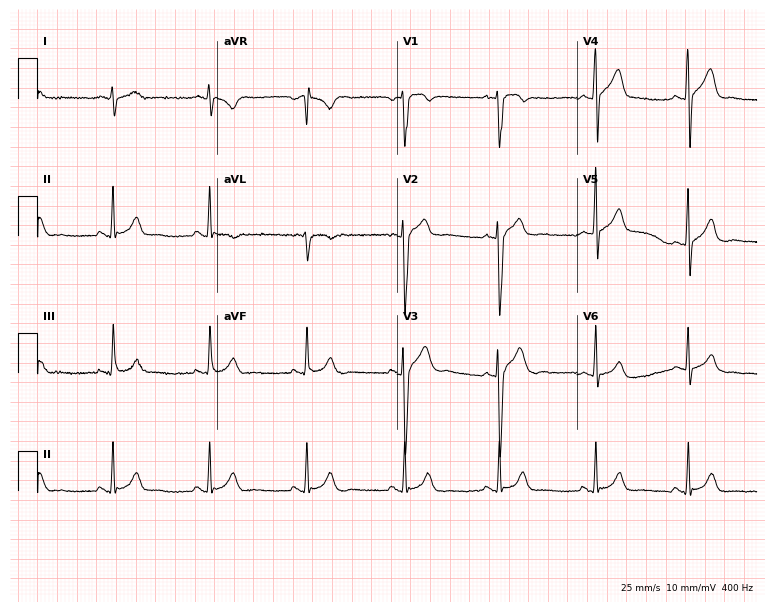
Electrocardiogram (7.3-second recording at 400 Hz), a 20-year-old male patient. Overall reading on record: normal ECG.